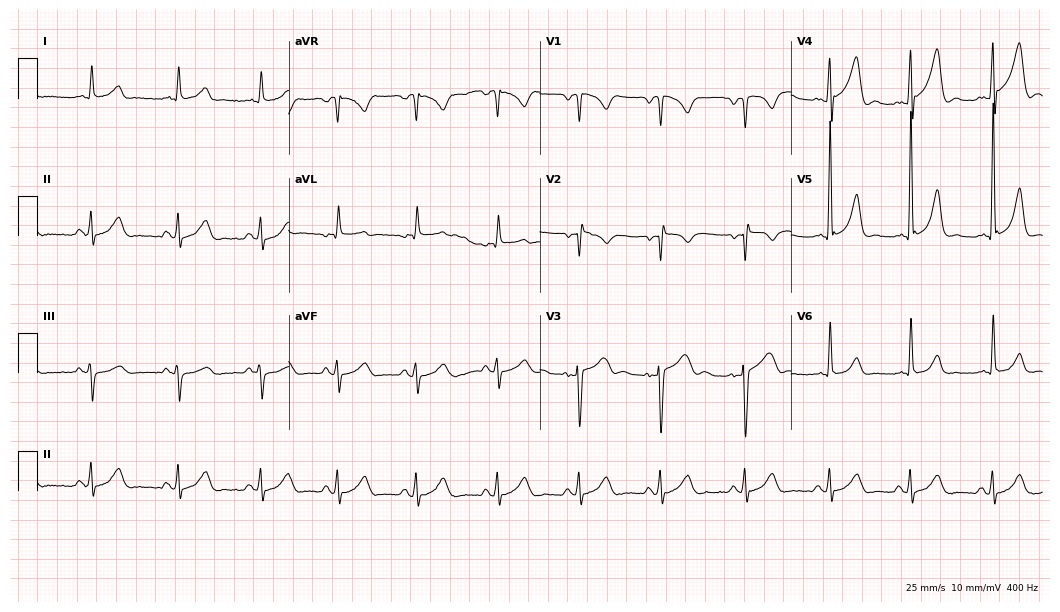
ECG (10.2-second recording at 400 Hz) — a male patient, 32 years old. Screened for six findings — first-degree AV block, right bundle branch block, left bundle branch block, sinus bradycardia, atrial fibrillation, sinus tachycardia — none is recorded.